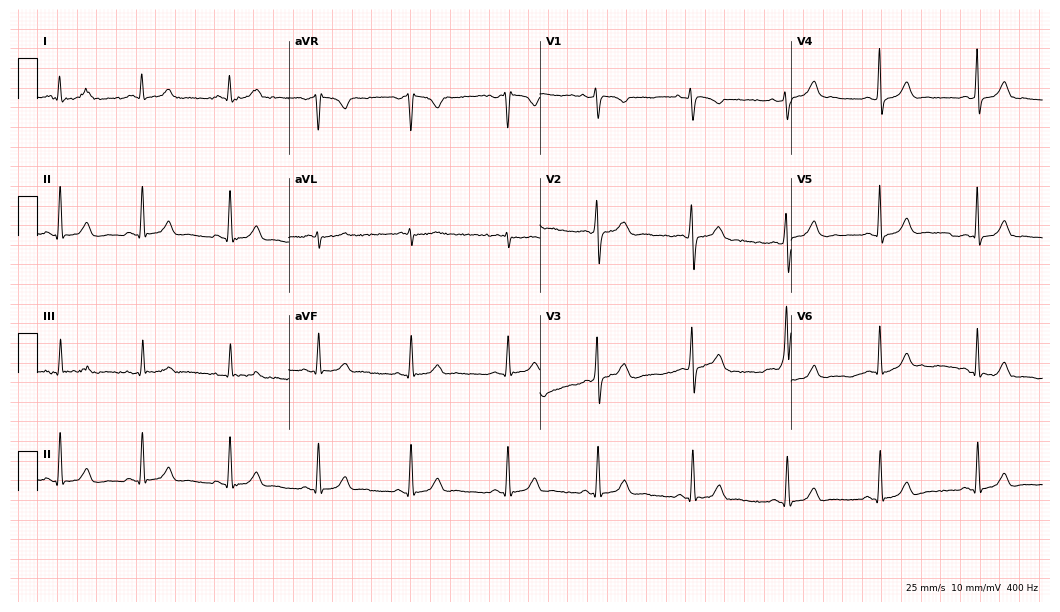
Standard 12-lead ECG recorded from a woman, 28 years old. None of these six findings is recorded: first-degree AV block, right bundle branch block, left bundle branch block, sinus bradycardia, atrial fibrillation, sinus tachycardia. Findings outside these six are not listed.